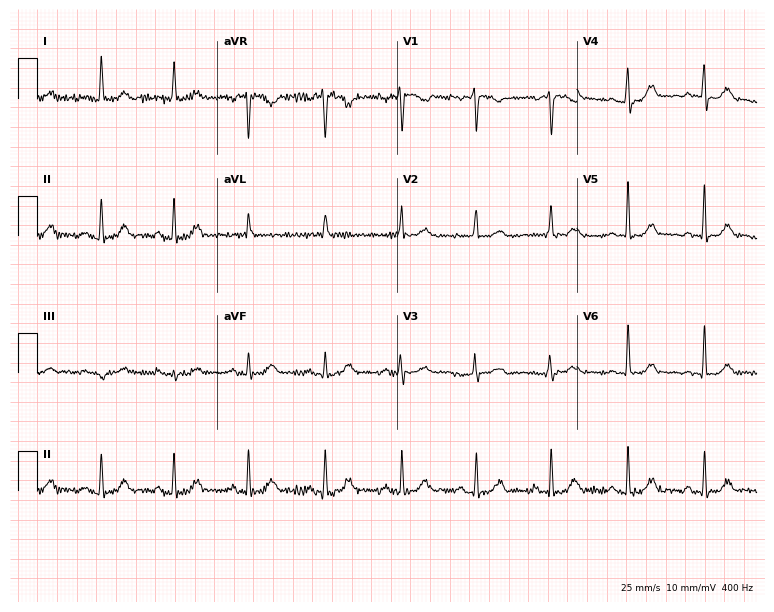
Electrocardiogram, a woman, 54 years old. Overall reading on record: normal ECG.